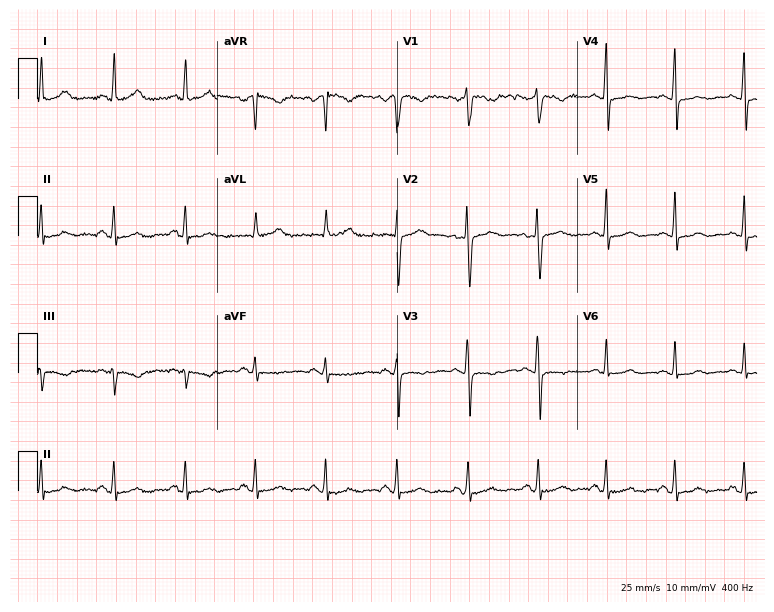
ECG (7.3-second recording at 400 Hz) — a 37-year-old woman. Screened for six findings — first-degree AV block, right bundle branch block (RBBB), left bundle branch block (LBBB), sinus bradycardia, atrial fibrillation (AF), sinus tachycardia — none is recorded. Other findings, if any, are not listed.